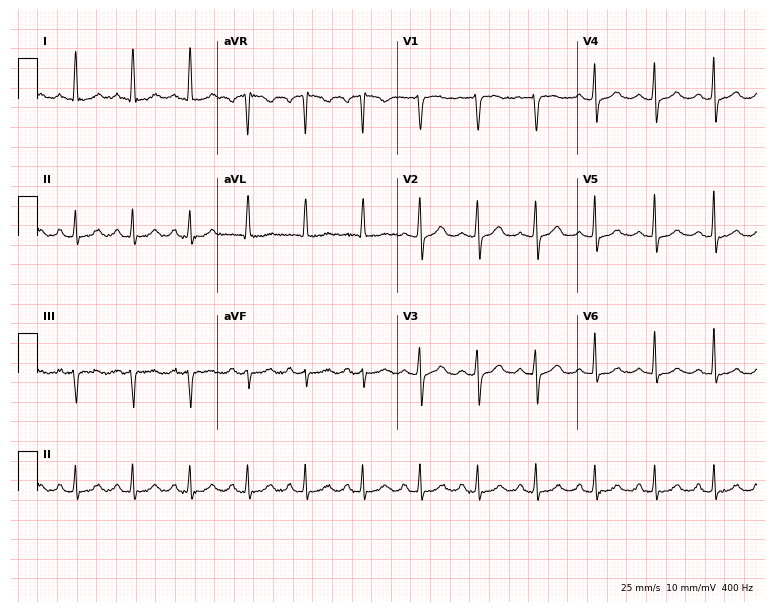
ECG — a 49-year-old female. Findings include sinus tachycardia (a sinus rate of 100 beats per minute or more).